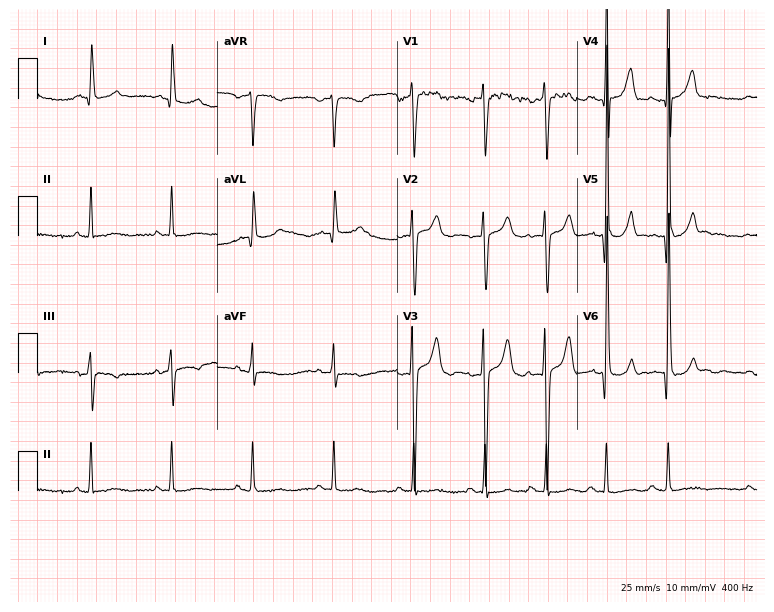
Electrocardiogram, a 30-year-old male. Of the six screened findings (first-degree AV block, right bundle branch block (RBBB), left bundle branch block (LBBB), sinus bradycardia, atrial fibrillation (AF), sinus tachycardia), none is recorded.